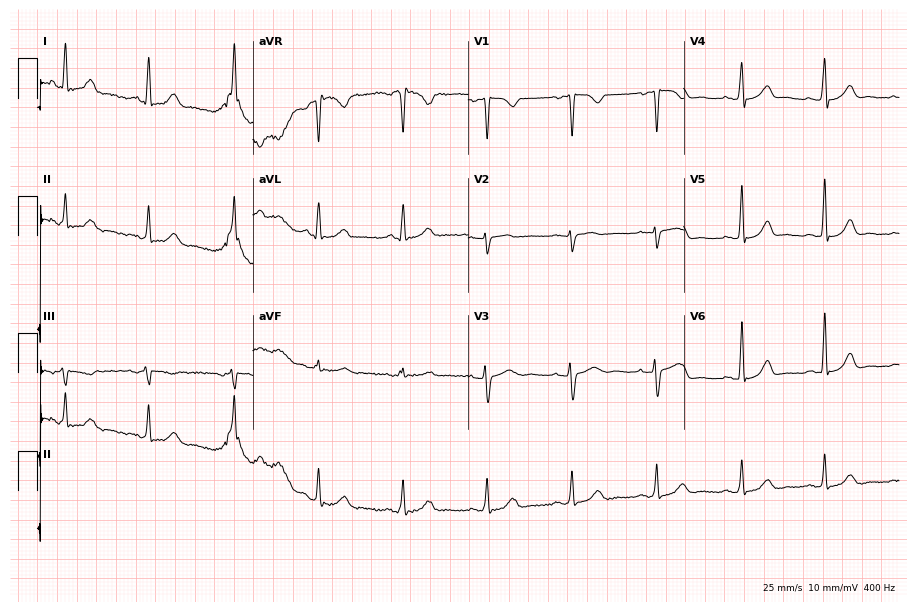
Resting 12-lead electrocardiogram (8.8-second recording at 400 Hz). Patient: a female, 40 years old. Read as a normal ECG.